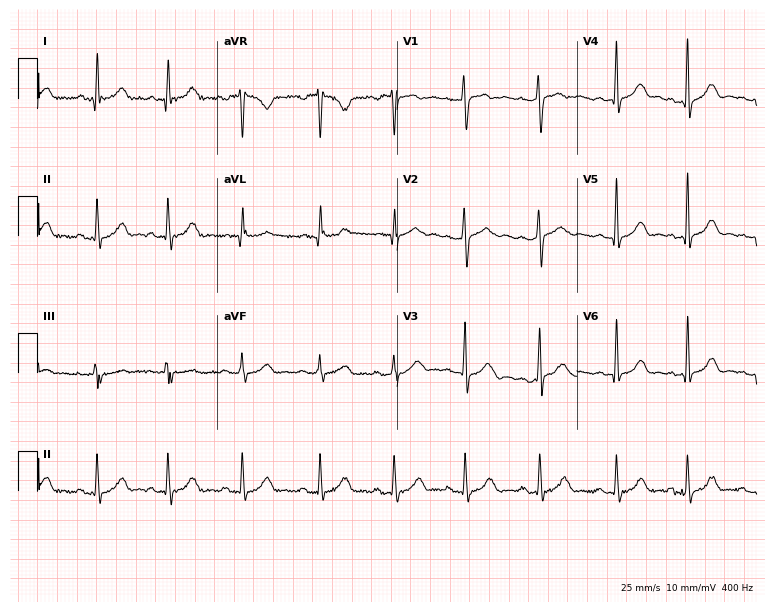
12-lead ECG (7.3-second recording at 400 Hz) from a female patient, 29 years old. Labelled as a normal ECG.